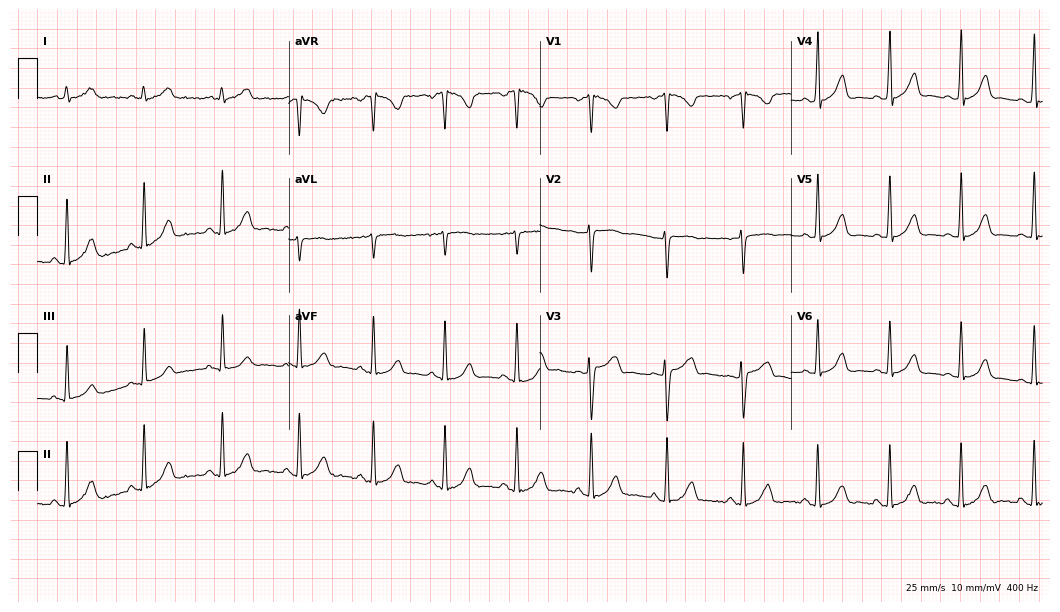
Electrocardiogram (10.2-second recording at 400 Hz), a 38-year-old female. Overall reading on record: normal ECG.